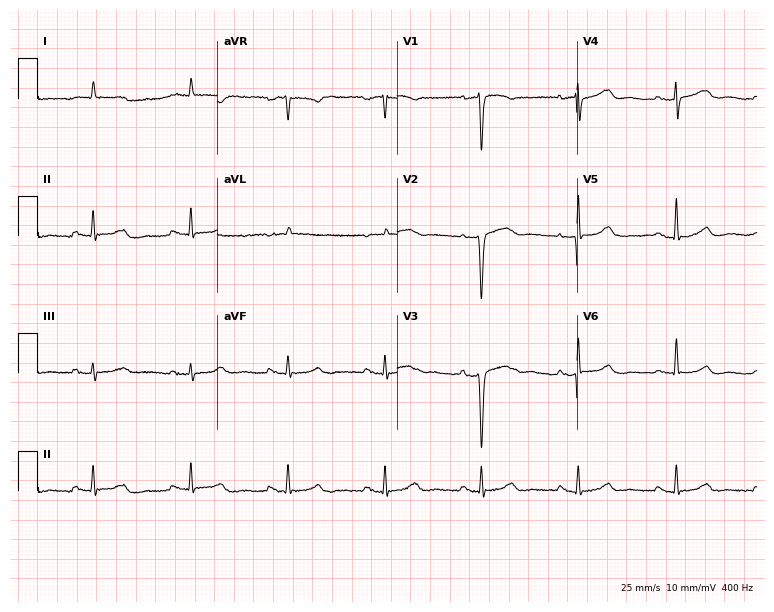
Standard 12-lead ECG recorded from a 59-year-old male. None of these six findings is recorded: first-degree AV block, right bundle branch block, left bundle branch block, sinus bradycardia, atrial fibrillation, sinus tachycardia. Findings outside these six are not listed.